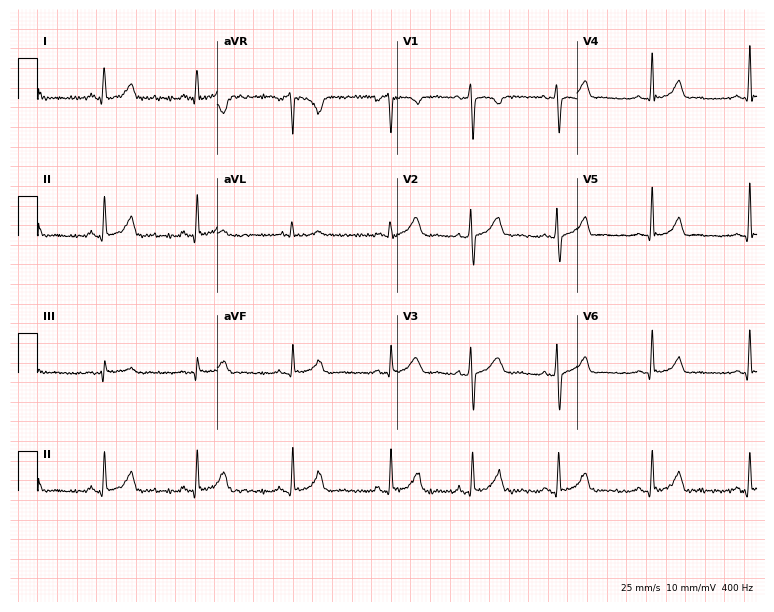
12-lead ECG from a woman, 27 years old. Labelled as a normal ECG.